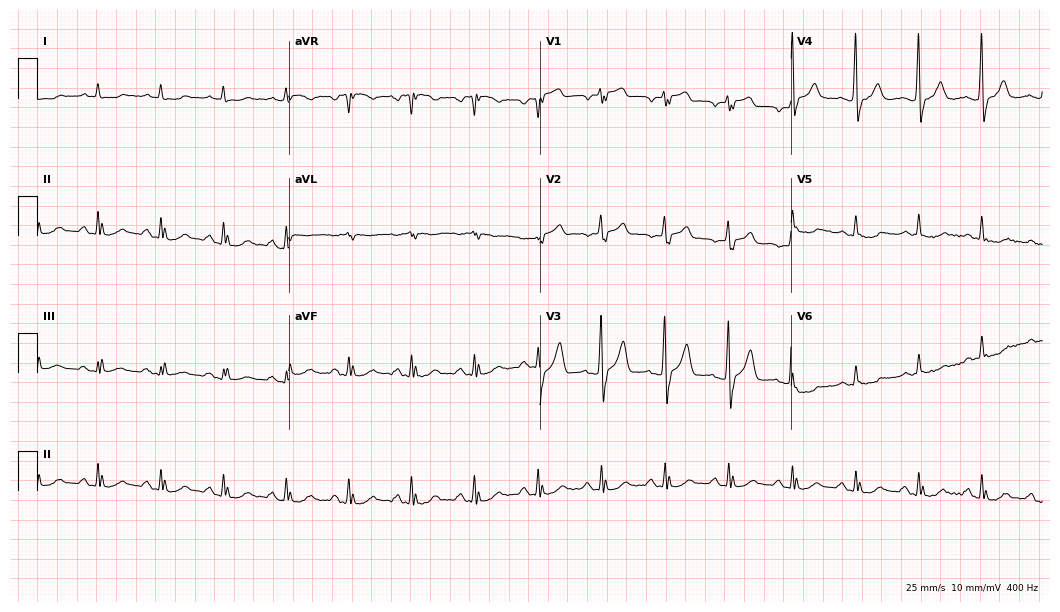
Resting 12-lead electrocardiogram. Patient: a male, 70 years old. None of these six findings is recorded: first-degree AV block, right bundle branch block, left bundle branch block, sinus bradycardia, atrial fibrillation, sinus tachycardia.